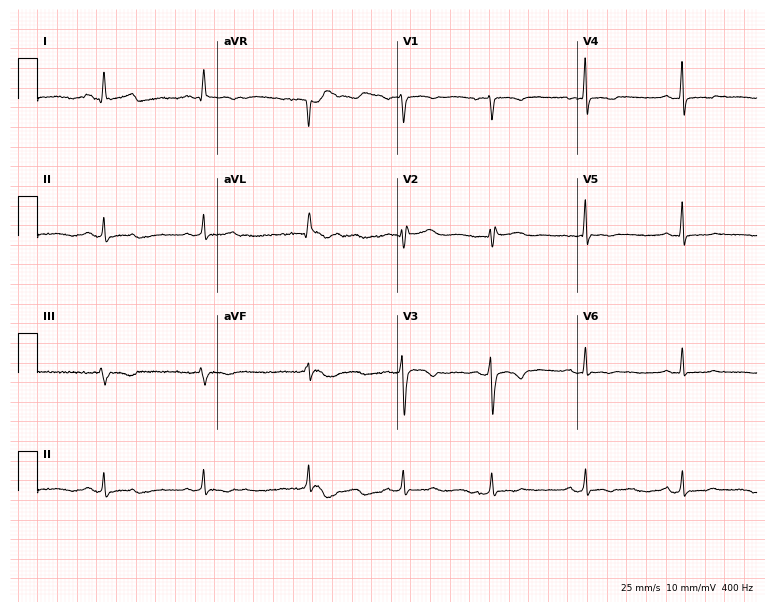
12-lead ECG (7.3-second recording at 400 Hz) from a female, 27 years old. Screened for six findings — first-degree AV block, right bundle branch block, left bundle branch block, sinus bradycardia, atrial fibrillation, sinus tachycardia — none is recorded.